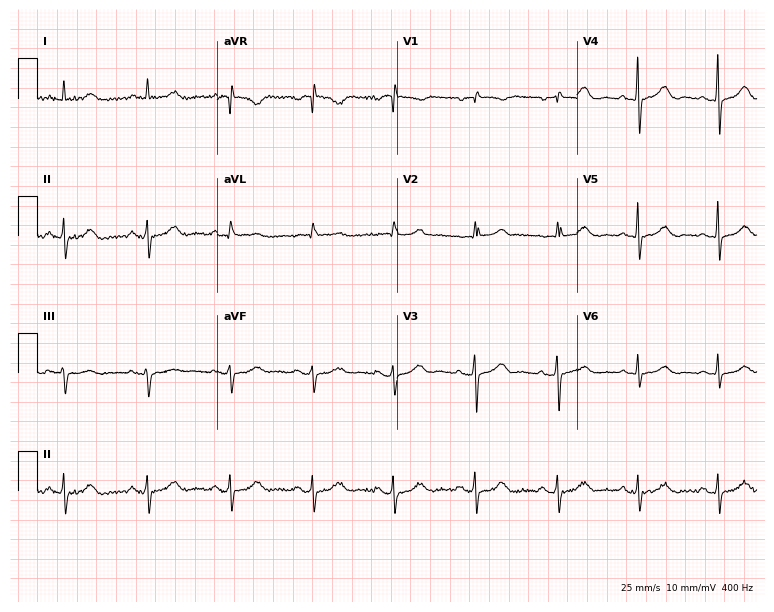
Electrocardiogram, a woman, 78 years old. Overall reading on record: normal ECG.